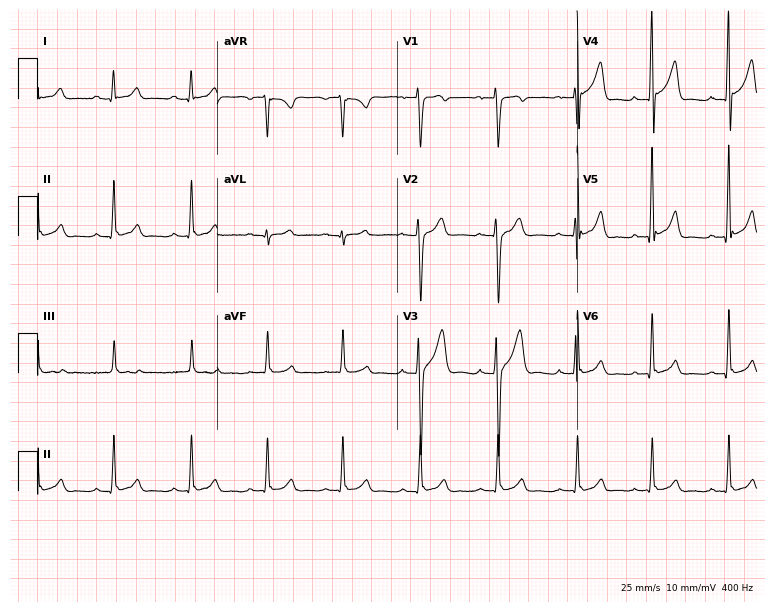
Standard 12-lead ECG recorded from a male patient, 17 years old (7.3-second recording at 400 Hz). Read as a normal ECG.